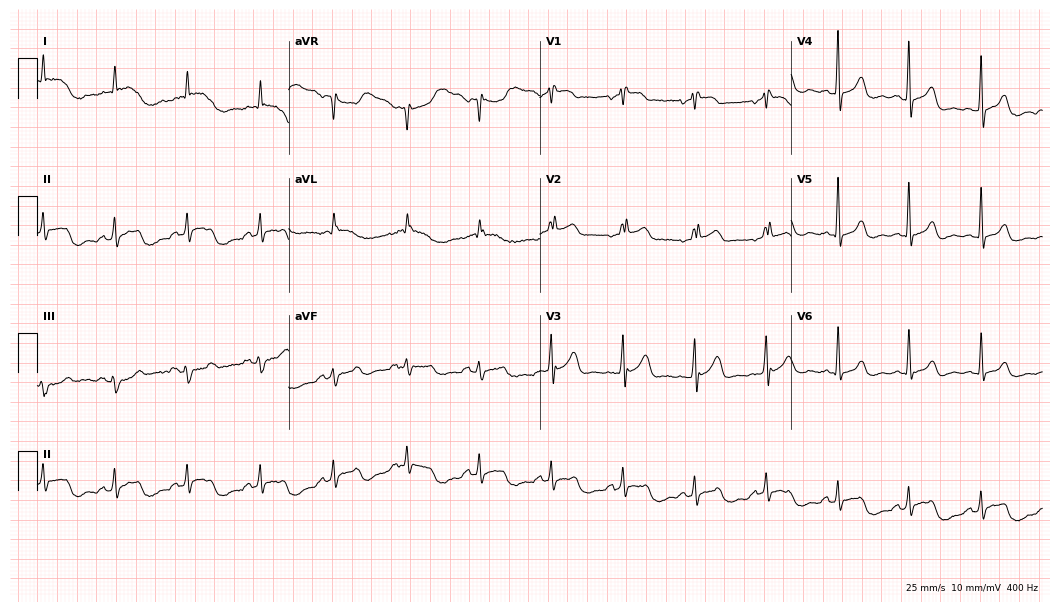
Resting 12-lead electrocardiogram (10.2-second recording at 400 Hz). Patient: a 74-year-old female. None of these six findings is recorded: first-degree AV block, right bundle branch block, left bundle branch block, sinus bradycardia, atrial fibrillation, sinus tachycardia. Only these six findings were labelled.